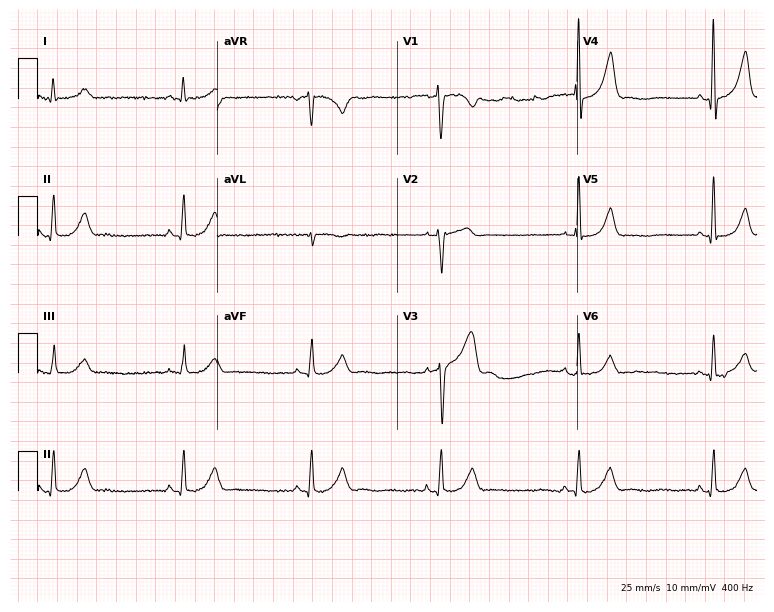
12-lead ECG from a male, 52 years old. Findings include sinus bradycardia (a sinus rate of 50 beats per minute or less).